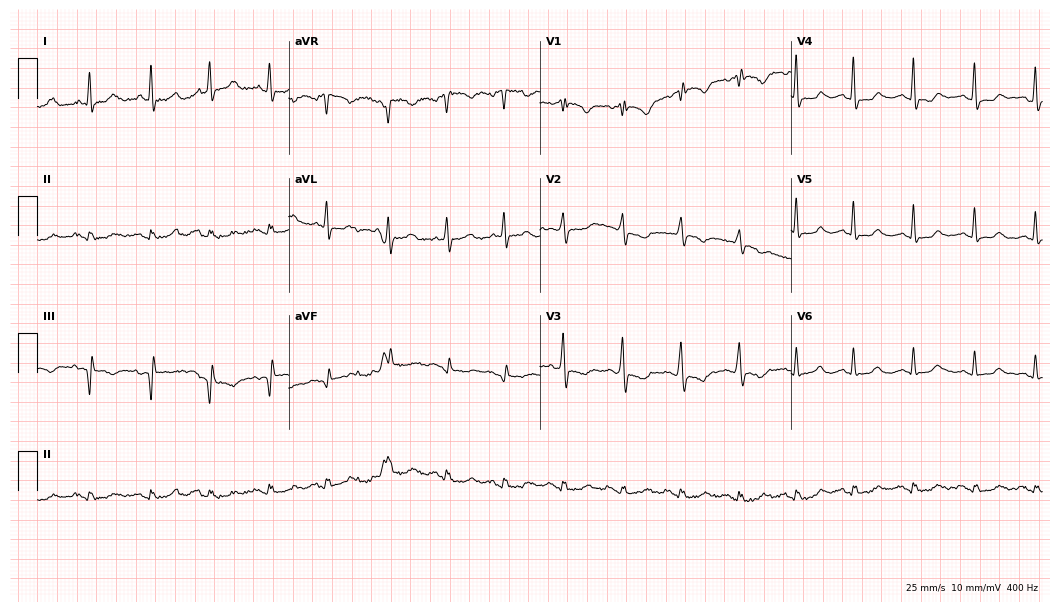
Electrocardiogram (10.2-second recording at 400 Hz), a 74-year-old male. Overall reading on record: normal ECG.